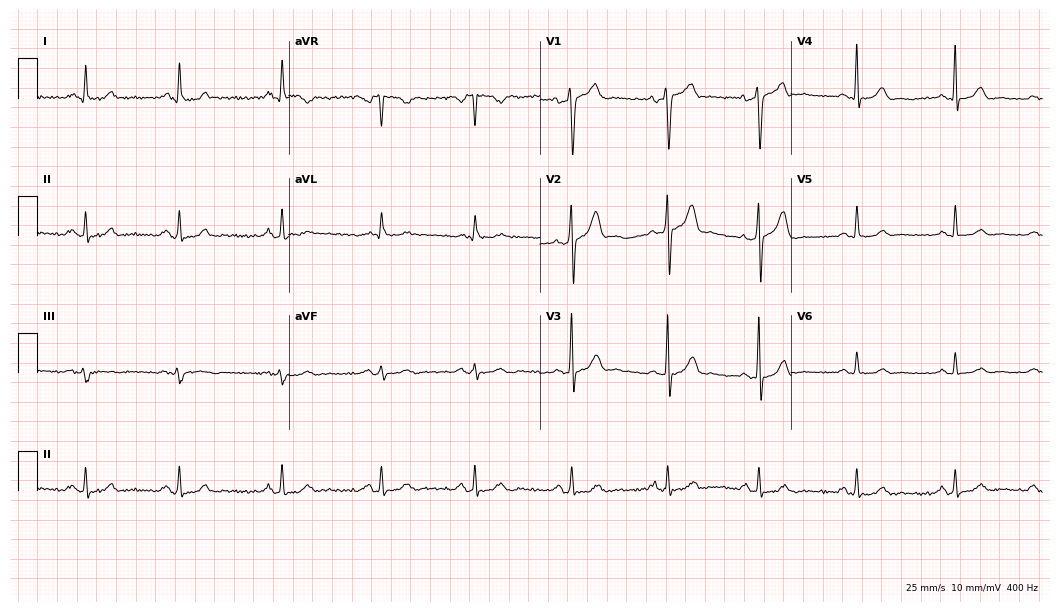
ECG (10.2-second recording at 400 Hz) — a 38-year-old male. Labelled as a normal ECG.